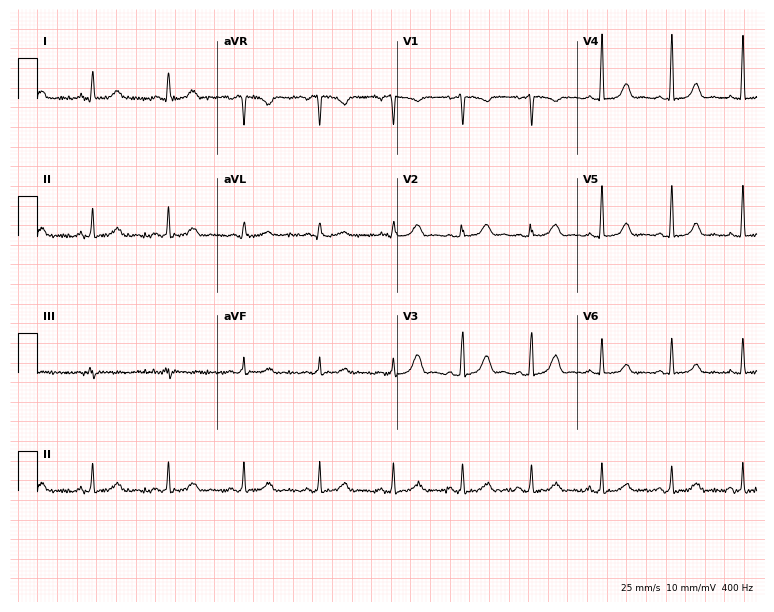
12-lead ECG from a 33-year-old female patient (7.3-second recording at 400 Hz). Recorded interpretation: within normal limits.